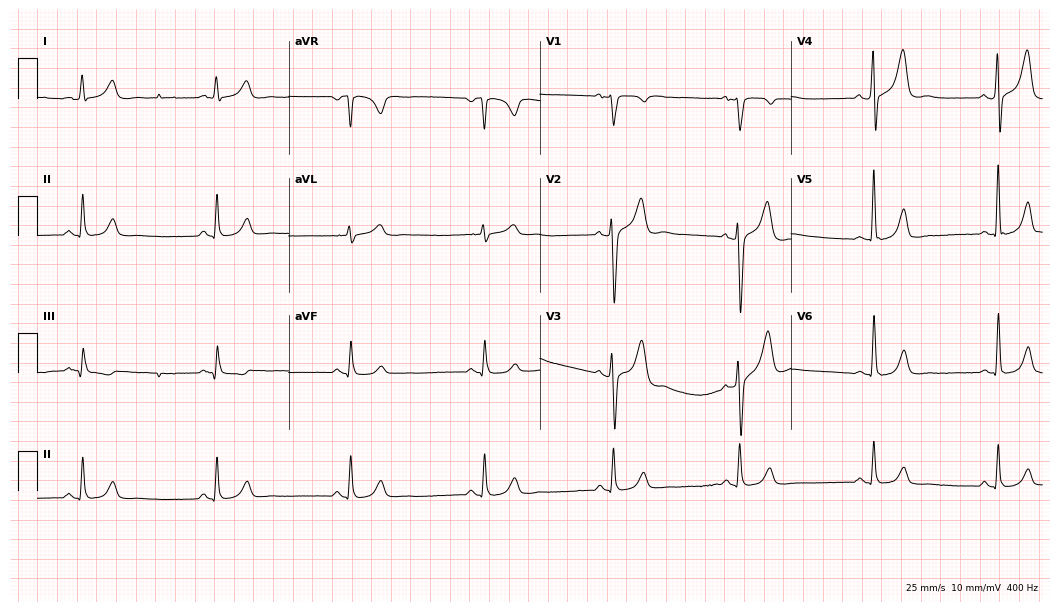
Resting 12-lead electrocardiogram. Patient: a 49-year-old male. The tracing shows sinus bradycardia (a sinus rate of 50 beats per minute or less).